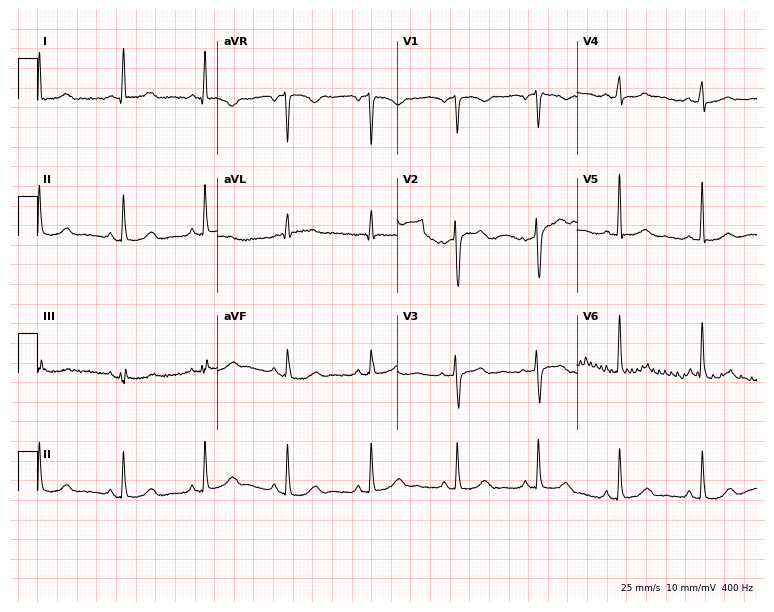
Electrocardiogram, a female, 53 years old. Overall reading on record: normal ECG.